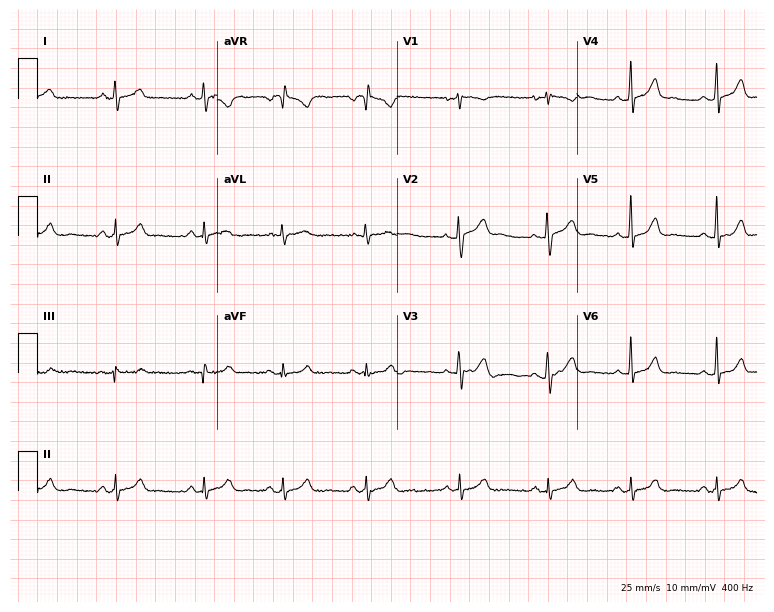
Electrocardiogram, a female, 30 years old. Overall reading on record: normal ECG.